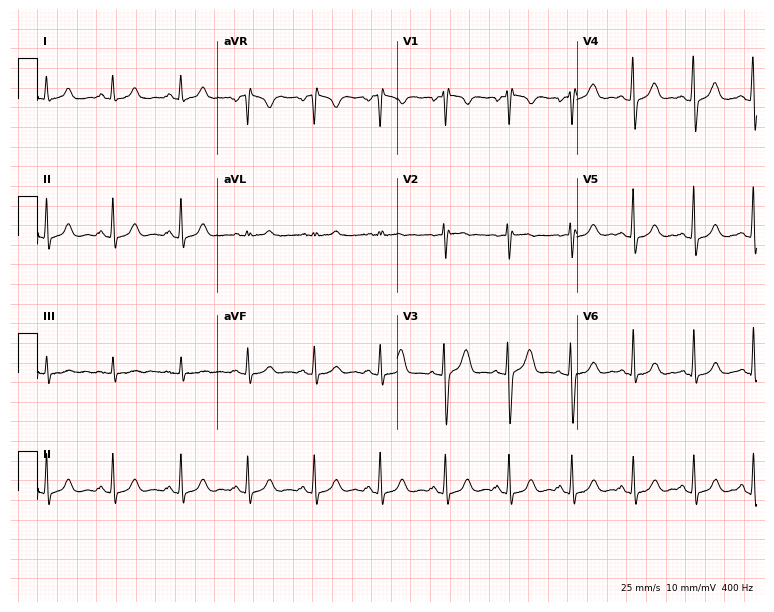
Standard 12-lead ECG recorded from a 30-year-old female. Read as a normal ECG.